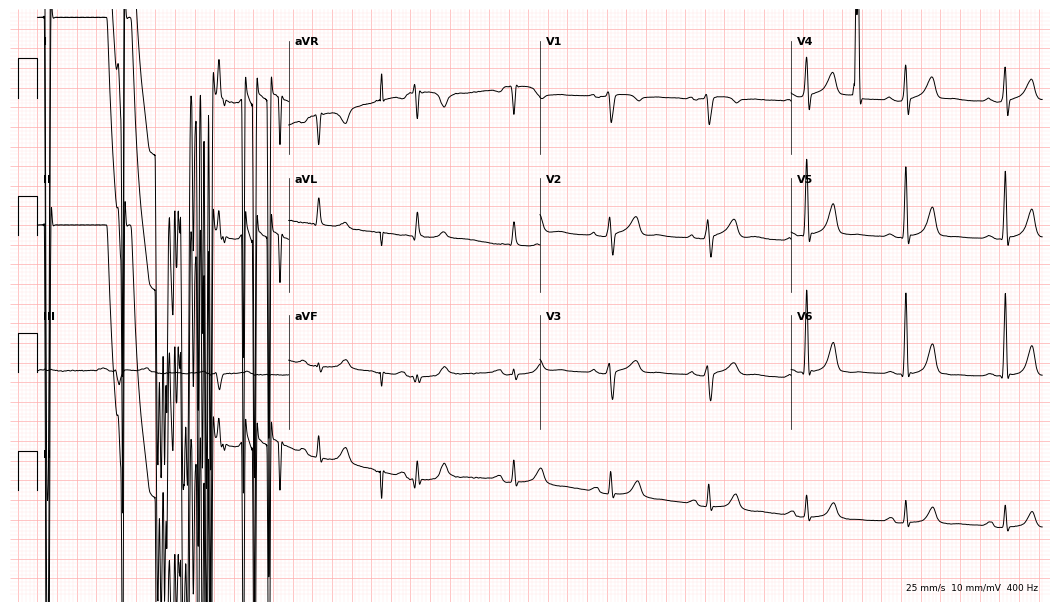
Standard 12-lead ECG recorded from a 67-year-old male. None of these six findings is recorded: first-degree AV block, right bundle branch block (RBBB), left bundle branch block (LBBB), sinus bradycardia, atrial fibrillation (AF), sinus tachycardia. Only these six findings were labelled.